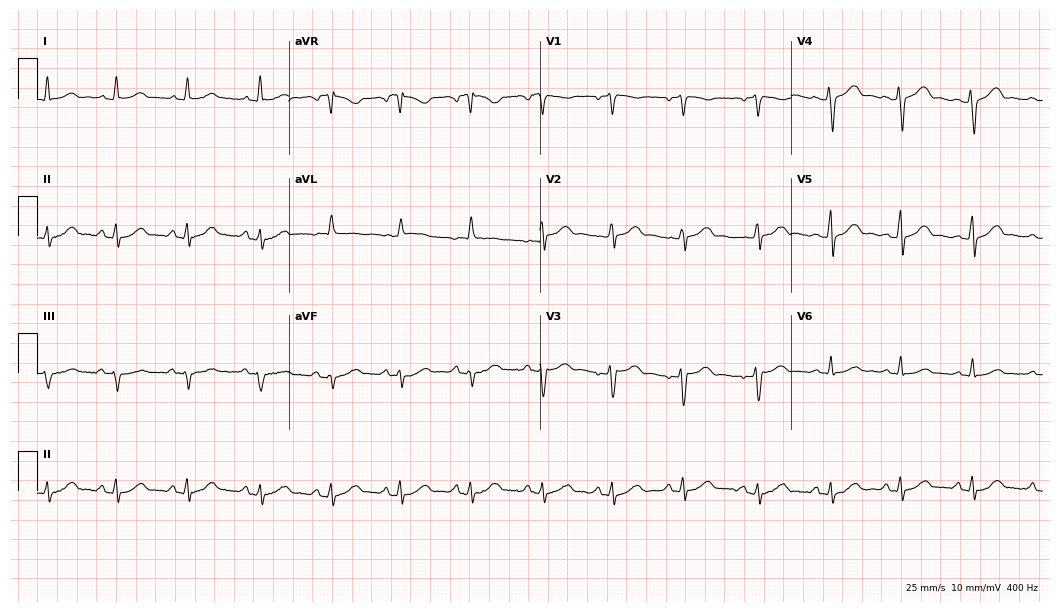
Standard 12-lead ECG recorded from a 43-year-old female (10.2-second recording at 400 Hz). None of these six findings is recorded: first-degree AV block, right bundle branch block (RBBB), left bundle branch block (LBBB), sinus bradycardia, atrial fibrillation (AF), sinus tachycardia.